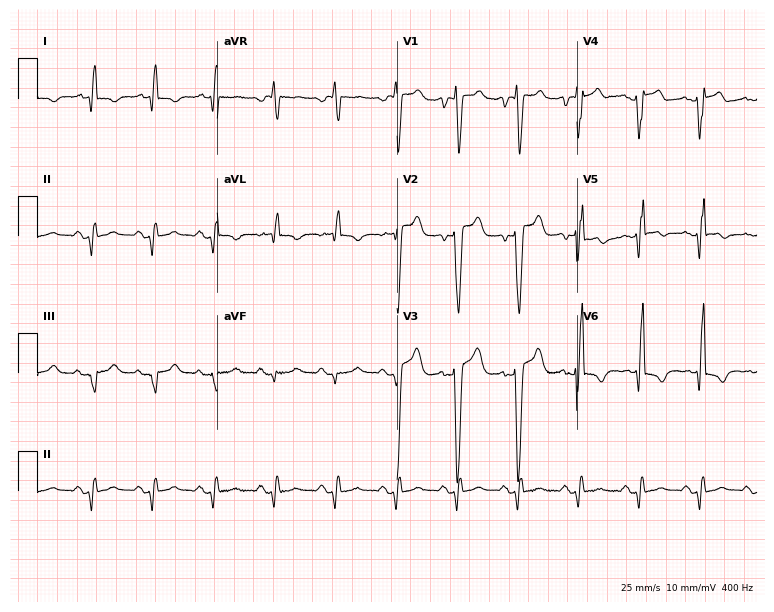
Resting 12-lead electrocardiogram. Patient: a female, 58 years old. None of these six findings is recorded: first-degree AV block, right bundle branch block, left bundle branch block, sinus bradycardia, atrial fibrillation, sinus tachycardia. Only these six findings were labelled.